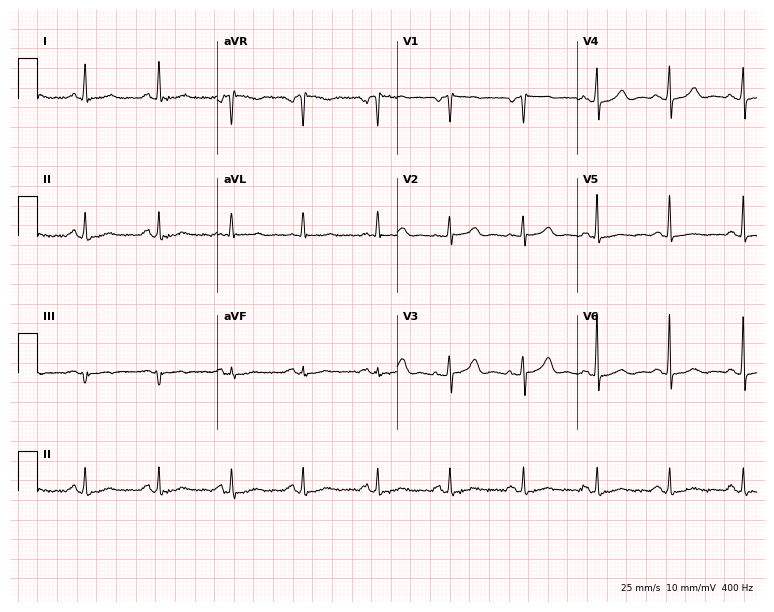
ECG (7.3-second recording at 400 Hz) — a 61-year-old female patient. Screened for six findings — first-degree AV block, right bundle branch block (RBBB), left bundle branch block (LBBB), sinus bradycardia, atrial fibrillation (AF), sinus tachycardia — none is recorded. Only these six findings were labelled.